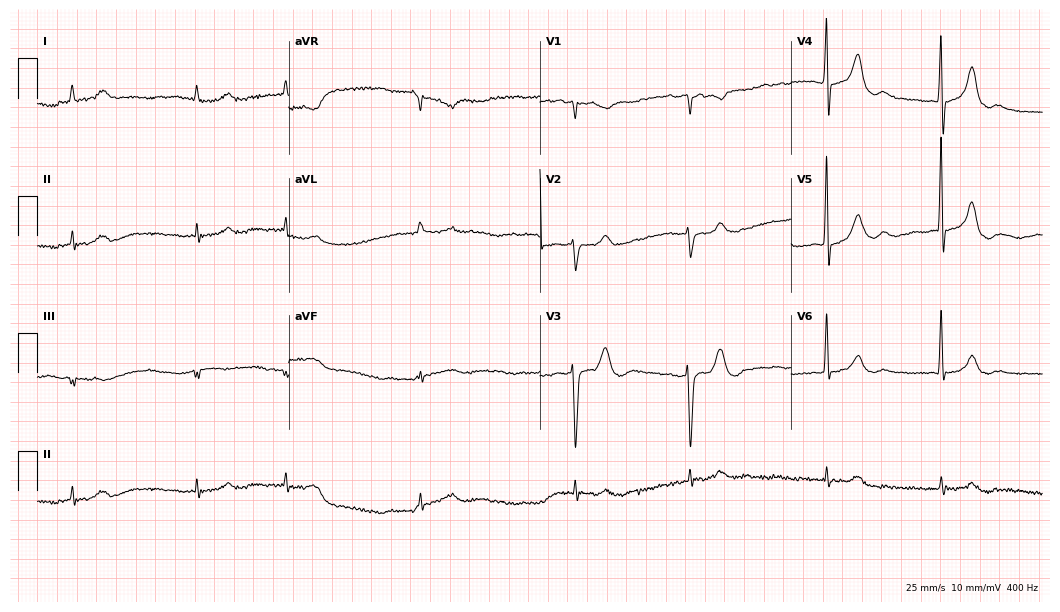
12-lead ECG (10.2-second recording at 400 Hz) from a 73-year-old male patient. Screened for six findings — first-degree AV block, right bundle branch block (RBBB), left bundle branch block (LBBB), sinus bradycardia, atrial fibrillation (AF), sinus tachycardia — none is recorded. Findings outside these six are not listed.